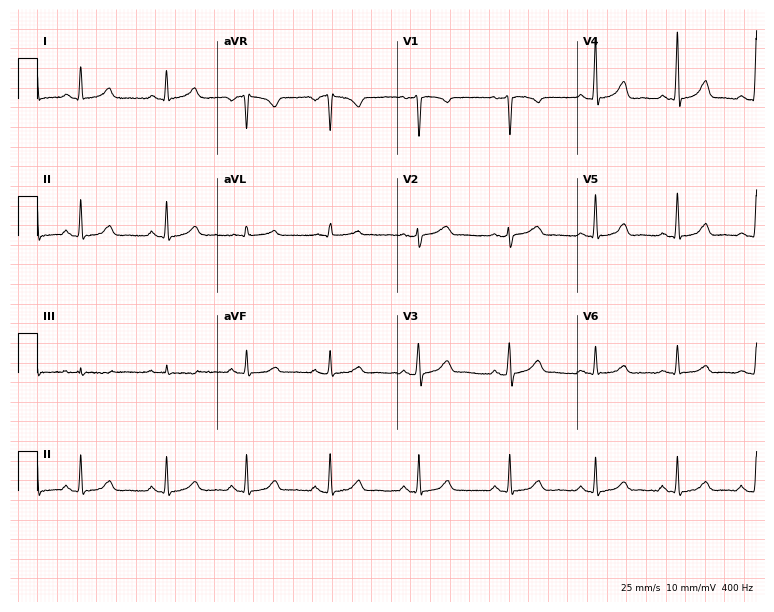
ECG (7.3-second recording at 400 Hz) — a woman, 38 years old. Labelled as a normal ECG.